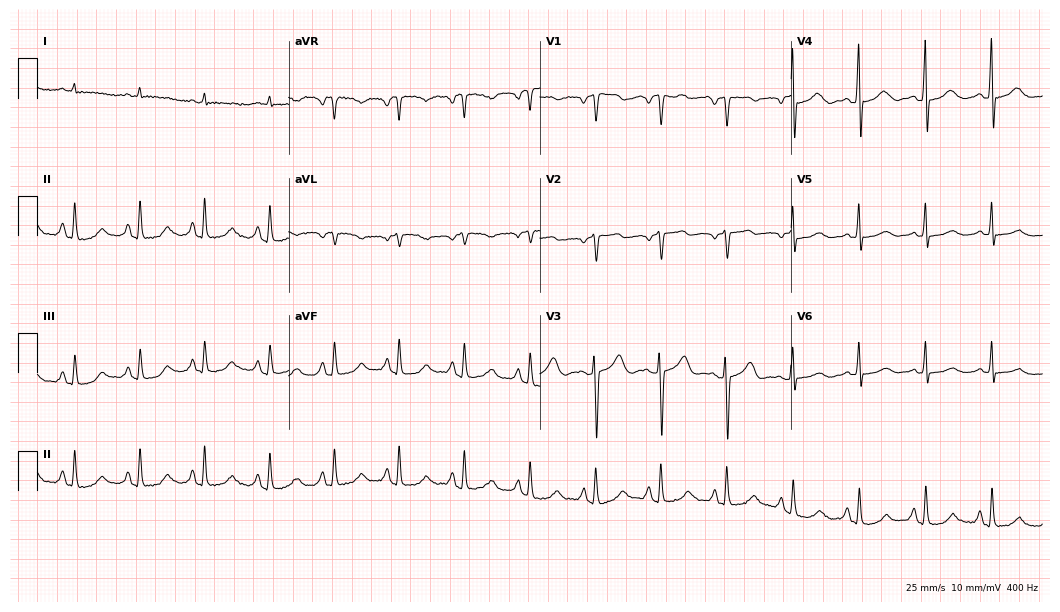
Standard 12-lead ECG recorded from a 73-year-old male patient. None of these six findings is recorded: first-degree AV block, right bundle branch block, left bundle branch block, sinus bradycardia, atrial fibrillation, sinus tachycardia. Findings outside these six are not listed.